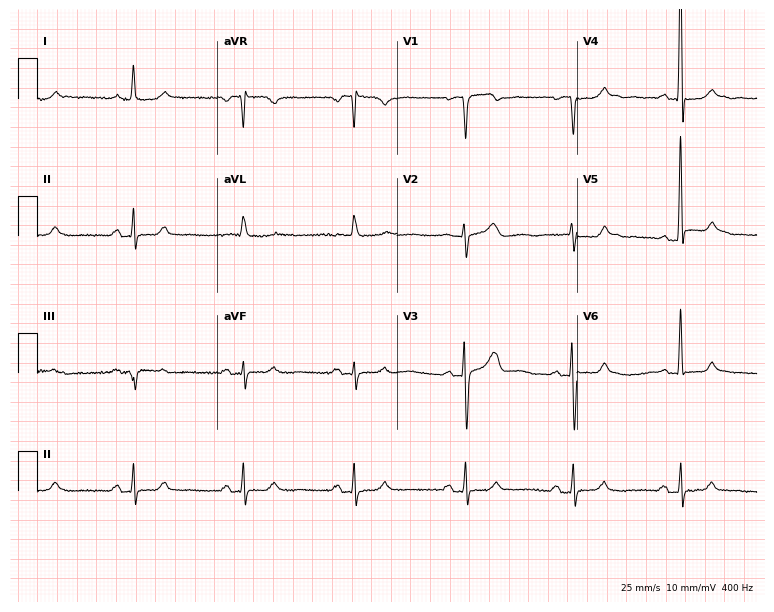
ECG (7.3-second recording at 400 Hz) — a 58-year-old man. Labelled as a normal ECG.